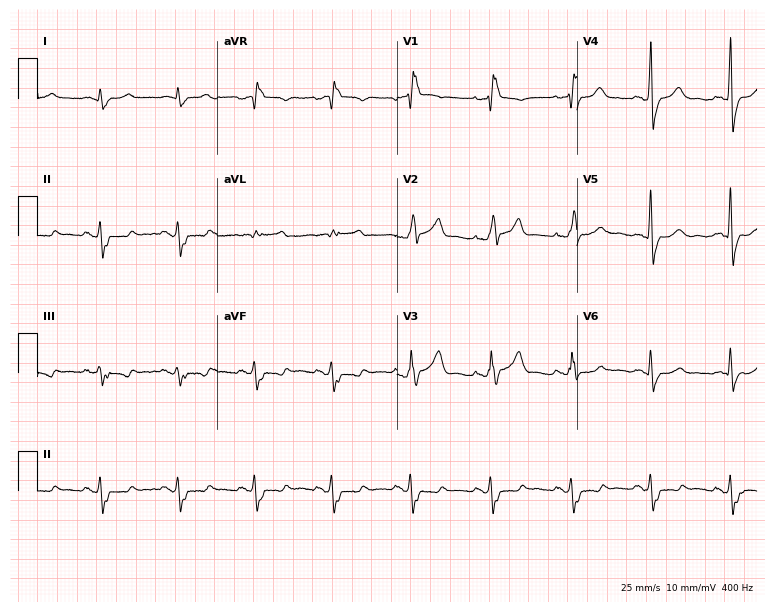
Resting 12-lead electrocardiogram. Patient: a male, 68 years old. None of these six findings is recorded: first-degree AV block, right bundle branch block (RBBB), left bundle branch block (LBBB), sinus bradycardia, atrial fibrillation (AF), sinus tachycardia. Findings outside these six are not listed.